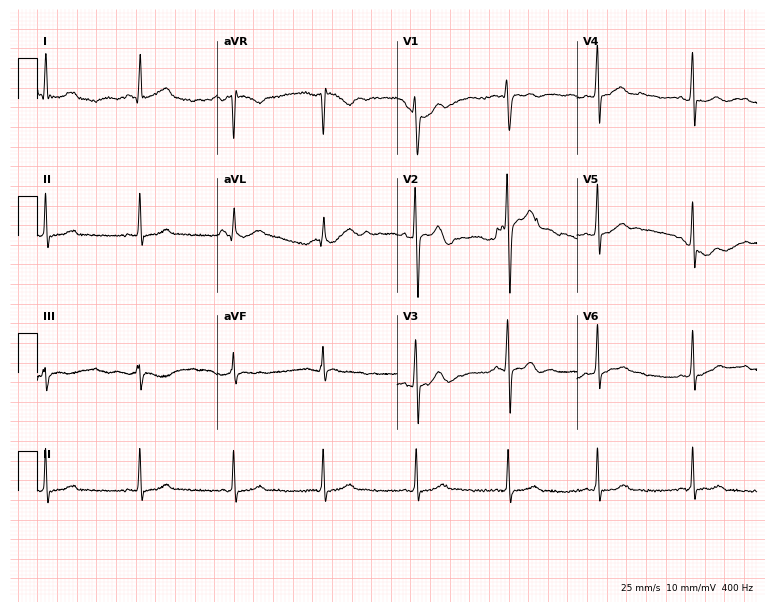
ECG — a male patient, 20 years old. Labelled as a normal ECG.